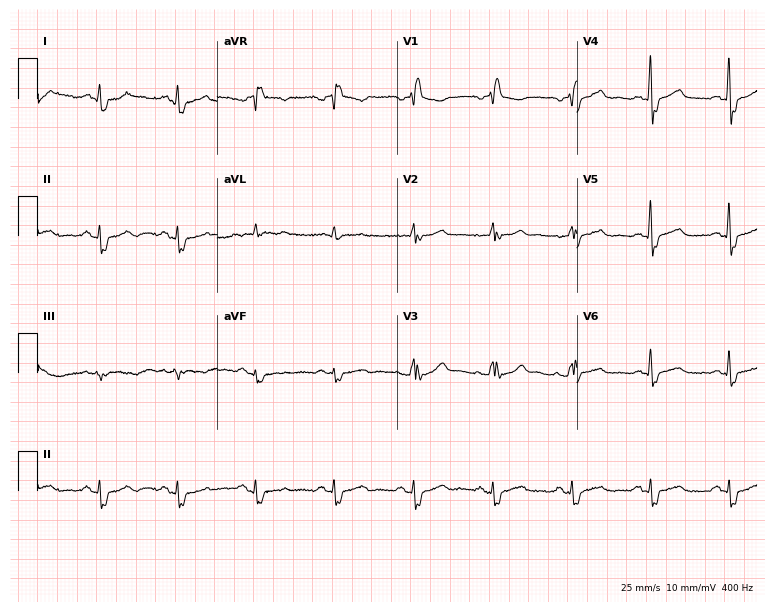
12-lead ECG from a male, 63 years old (7.3-second recording at 400 Hz). No first-degree AV block, right bundle branch block (RBBB), left bundle branch block (LBBB), sinus bradycardia, atrial fibrillation (AF) or sinus tachycardia recorded for this tracing.